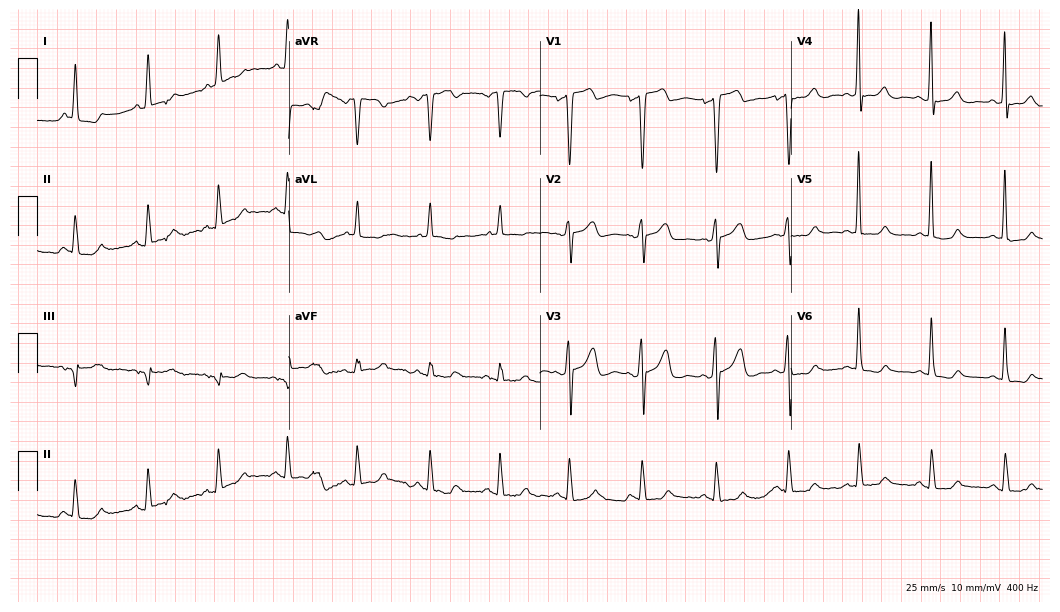
Resting 12-lead electrocardiogram (10.2-second recording at 400 Hz). Patient: a 47-year-old man. Read as a normal ECG.